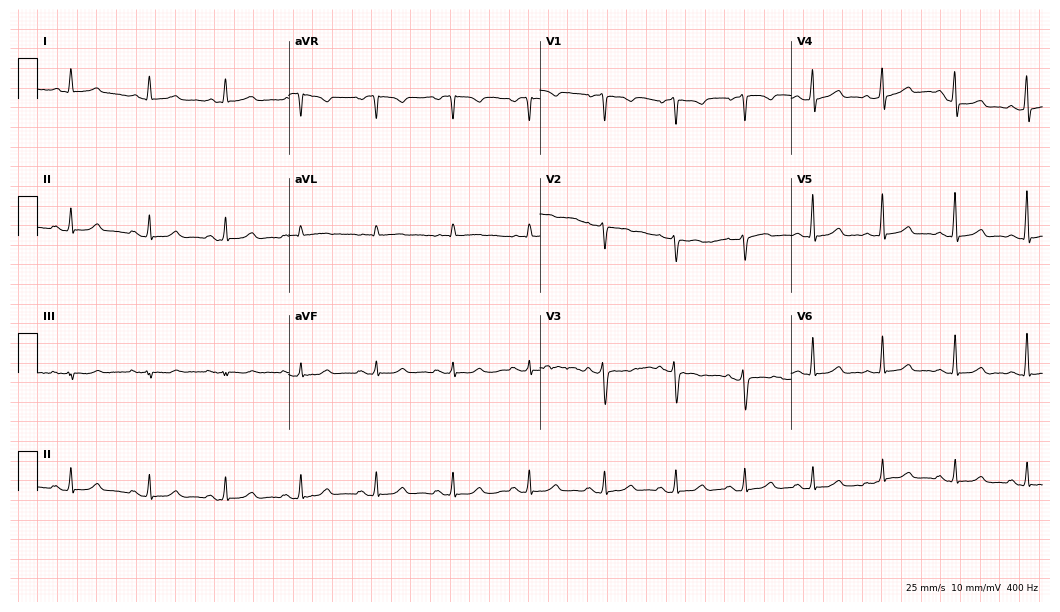
Standard 12-lead ECG recorded from a female, 59 years old (10.2-second recording at 400 Hz). None of these six findings is recorded: first-degree AV block, right bundle branch block, left bundle branch block, sinus bradycardia, atrial fibrillation, sinus tachycardia. Other findings, if any, are not listed.